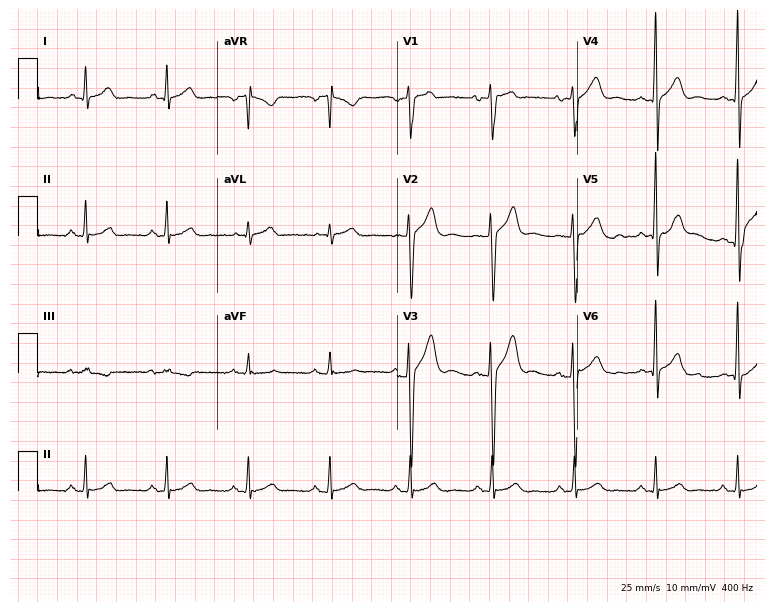
12-lead ECG from a 41-year-old man. Labelled as a normal ECG.